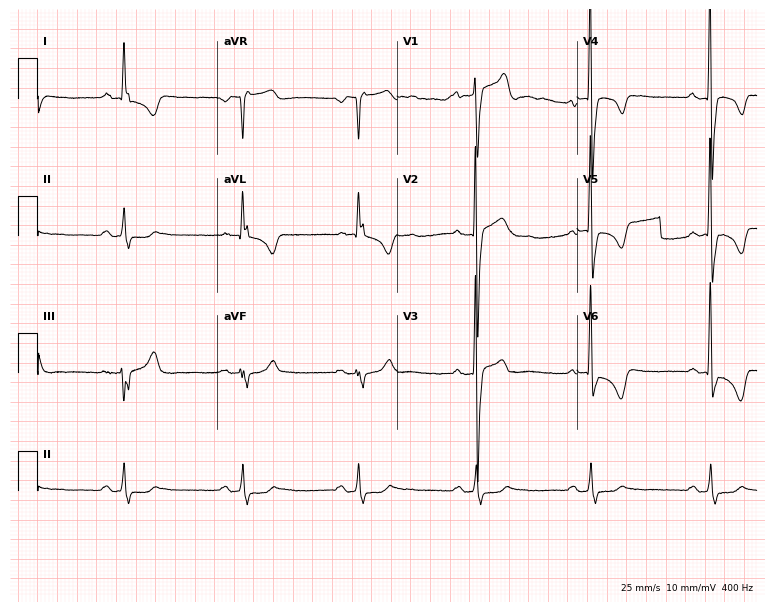
Resting 12-lead electrocardiogram. Patient: a male, 62 years old. The tracing shows sinus bradycardia (a sinus rate of 50 beats per minute or less).